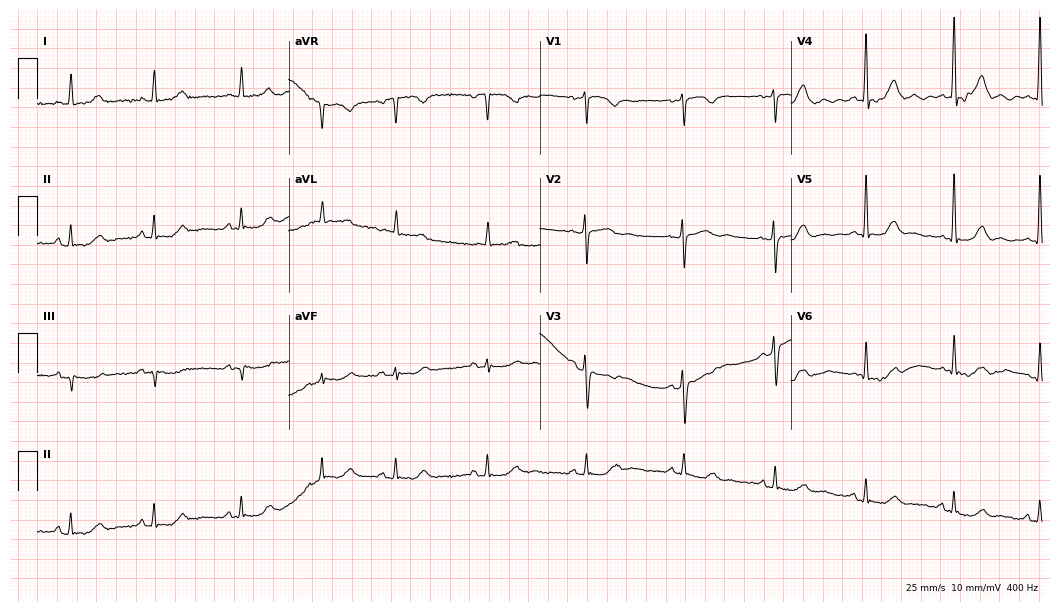
12-lead ECG from a female, 65 years old. Screened for six findings — first-degree AV block, right bundle branch block (RBBB), left bundle branch block (LBBB), sinus bradycardia, atrial fibrillation (AF), sinus tachycardia — none is recorded.